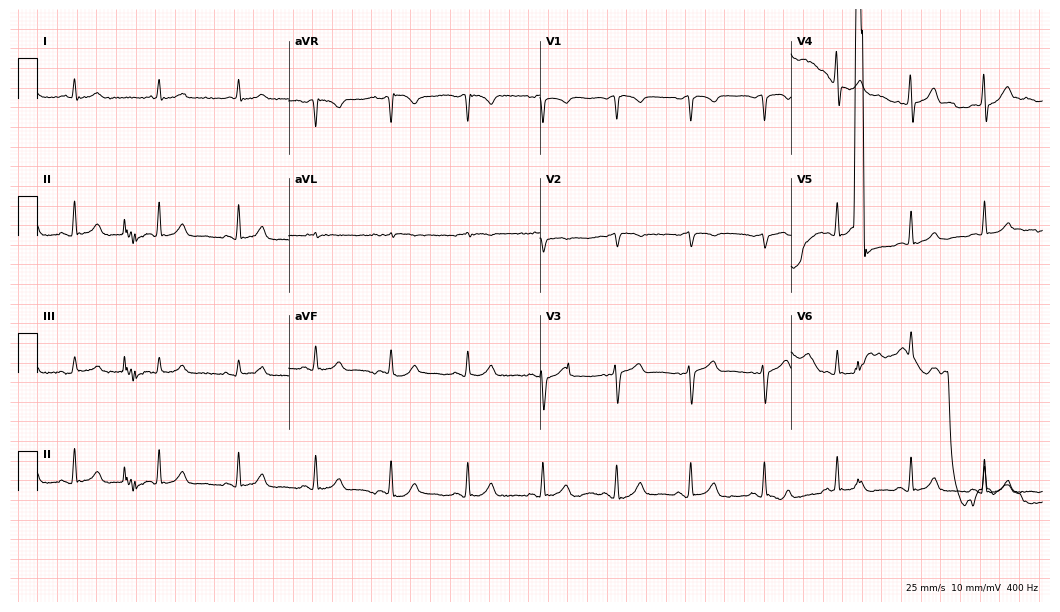
Electrocardiogram, a 75-year-old man. Overall reading on record: normal ECG.